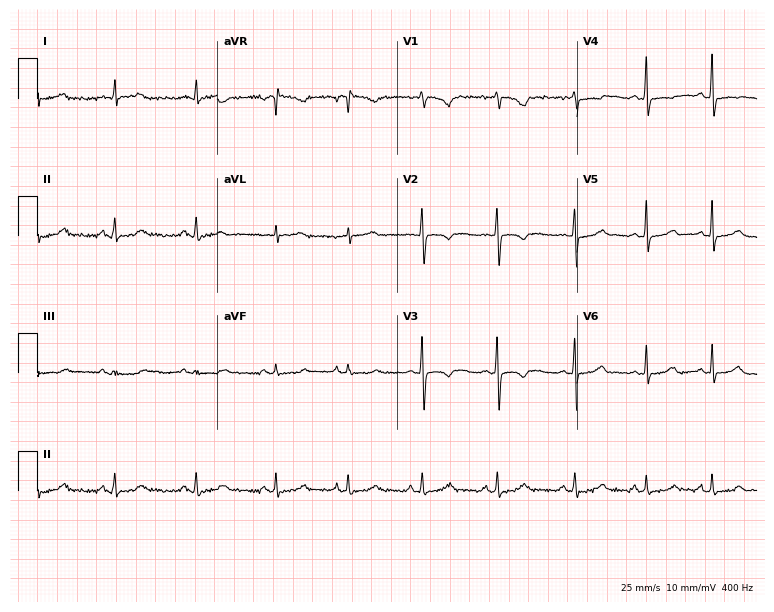
12-lead ECG from a female patient, 20 years old. Labelled as a normal ECG.